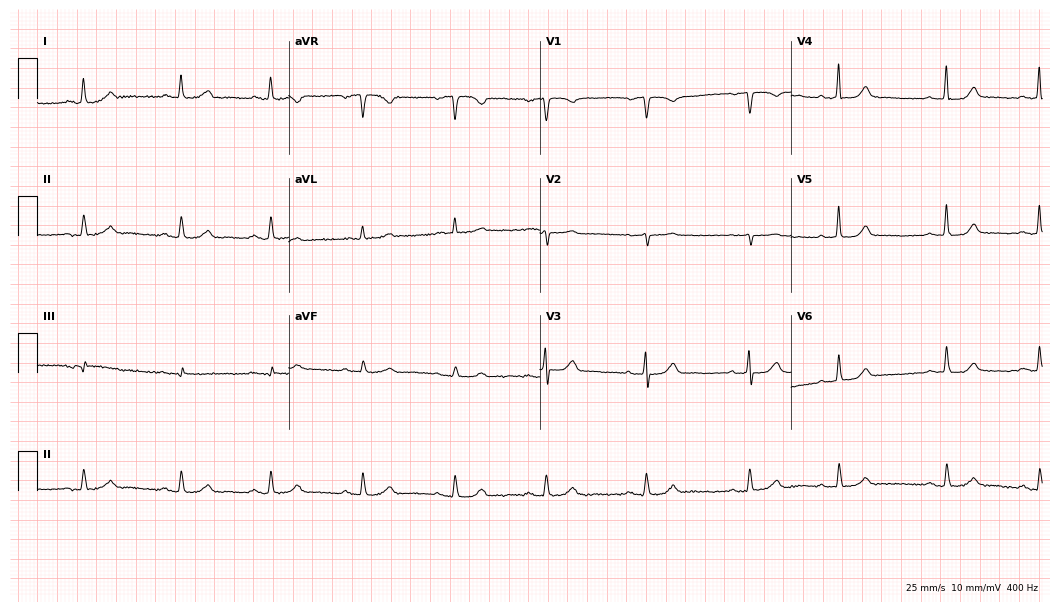
12-lead ECG (10.2-second recording at 400 Hz) from an 82-year-old woman. Labelled as a normal ECG.